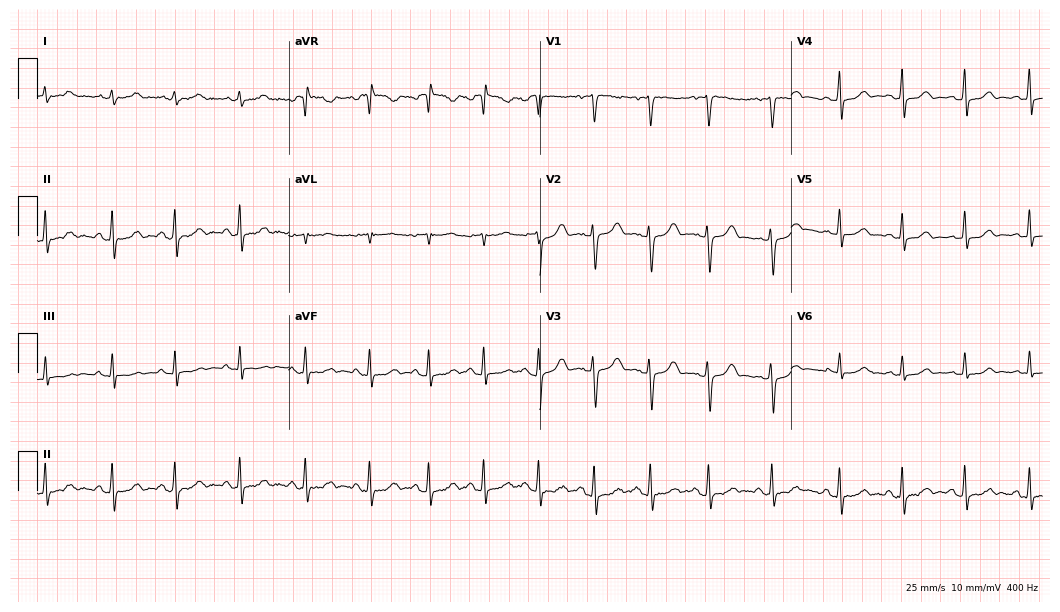
12-lead ECG from an 18-year-old woman. Labelled as a normal ECG.